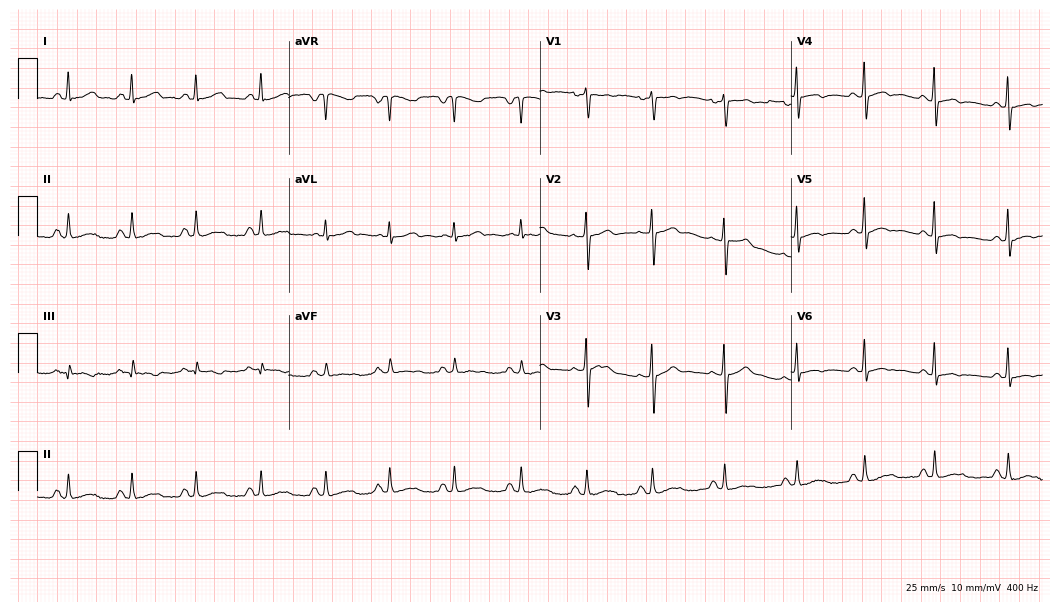
Resting 12-lead electrocardiogram. Patient: a woman, 37 years old. Read as a normal ECG.